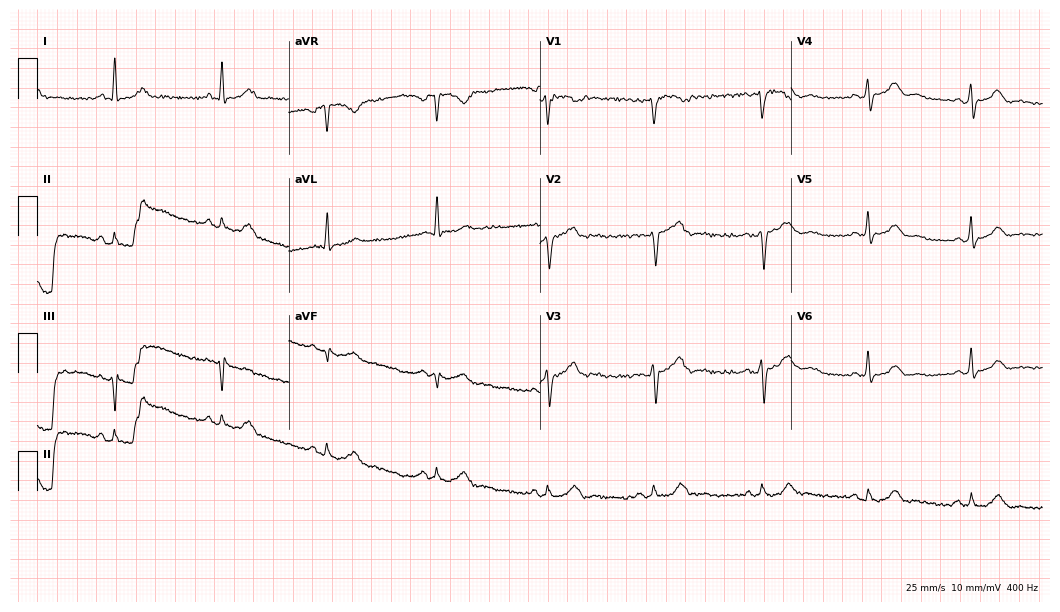
Electrocardiogram, a 51-year-old male patient. Overall reading on record: normal ECG.